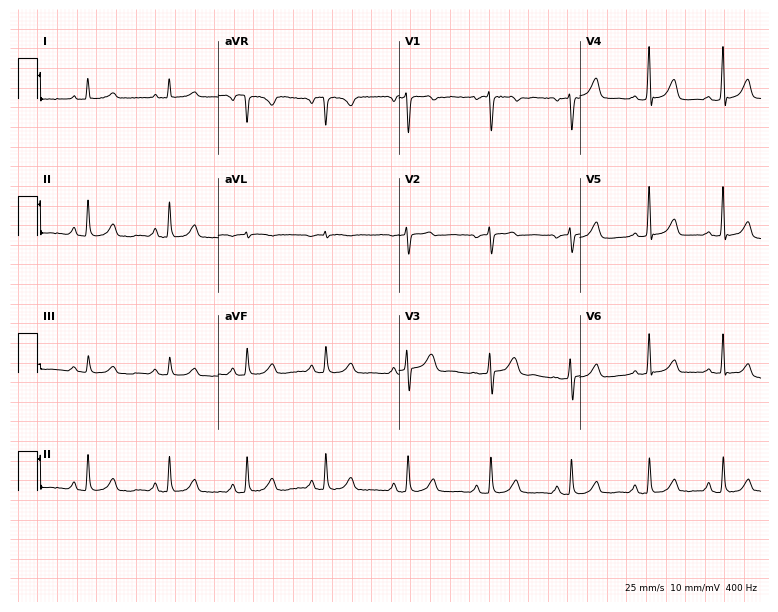
Electrocardiogram (7.4-second recording at 400 Hz), a 33-year-old female. Of the six screened findings (first-degree AV block, right bundle branch block (RBBB), left bundle branch block (LBBB), sinus bradycardia, atrial fibrillation (AF), sinus tachycardia), none is recorded.